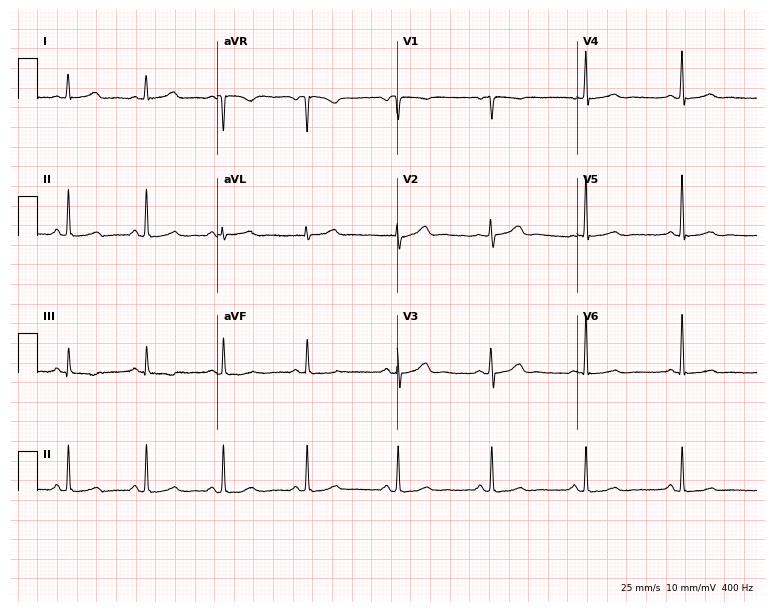
12-lead ECG from a woman, 48 years old. Labelled as a normal ECG.